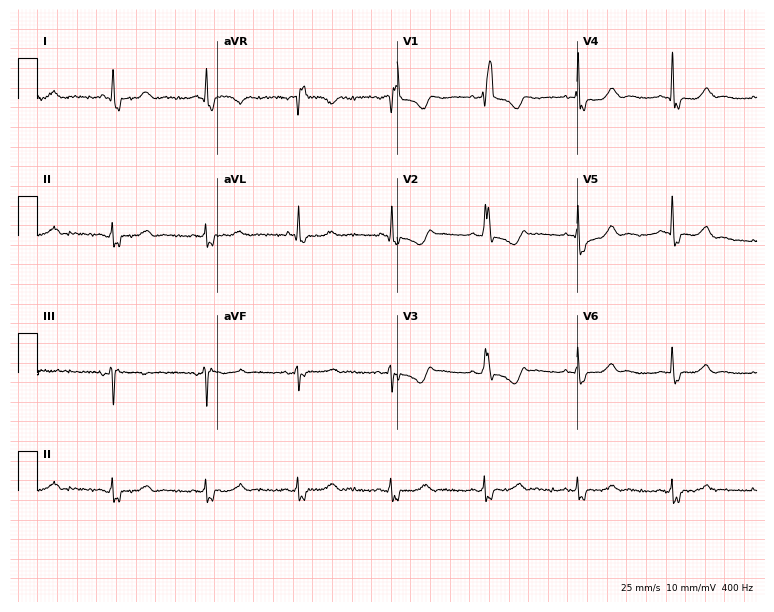
Electrocardiogram (7.3-second recording at 400 Hz), a female, 76 years old. Interpretation includes right bundle branch block.